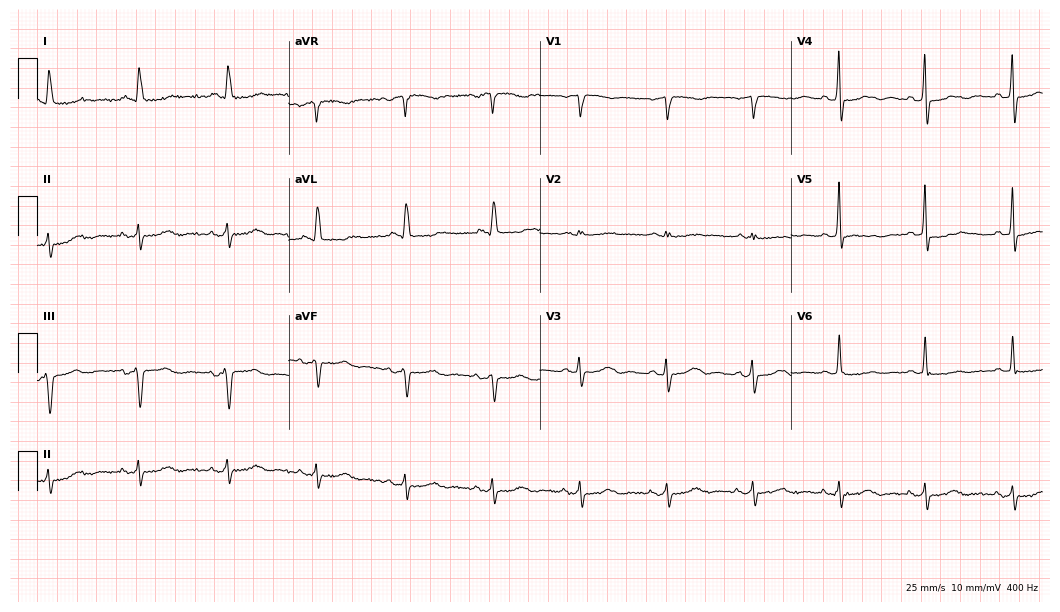
Electrocardiogram, a female patient, 73 years old. Of the six screened findings (first-degree AV block, right bundle branch block (RBBB), left bundle branch block (LBBB), sinus bradycardia, atrial fibrillation (AF), sinus tachycardia), none is recorded.